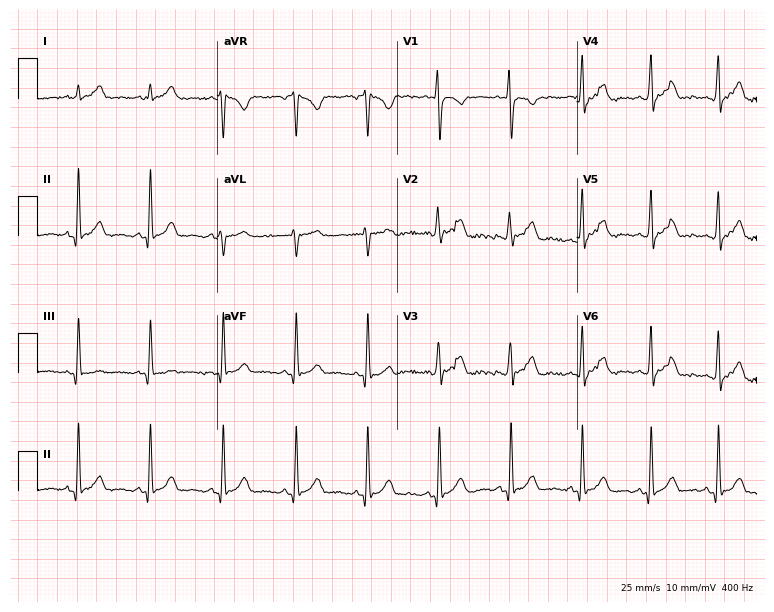
Resting 12-lead electrocardiogram. Patient: a 22-year-old woman. None of these six findings is recorded: first-degree AV block, right bundle branch block, left bundle branch block, sinus bradycardia, atrial fibrillation, sinus tachycardia.